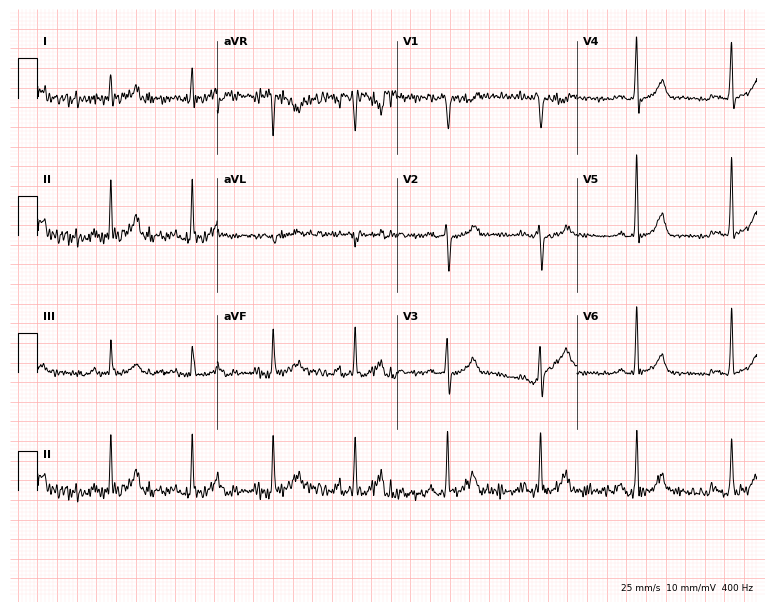
Resting 12-lead electrocardiogram (7.3-second recording at 400 Hz). Patient: a male, 44 years old. None of these six findings is recorded: first-degree AV block, right bundle branch block, left bundle branch block, sinus bradycardia, atrial fibrillation, sinus tachycardia. Findings outside these six are not listed.